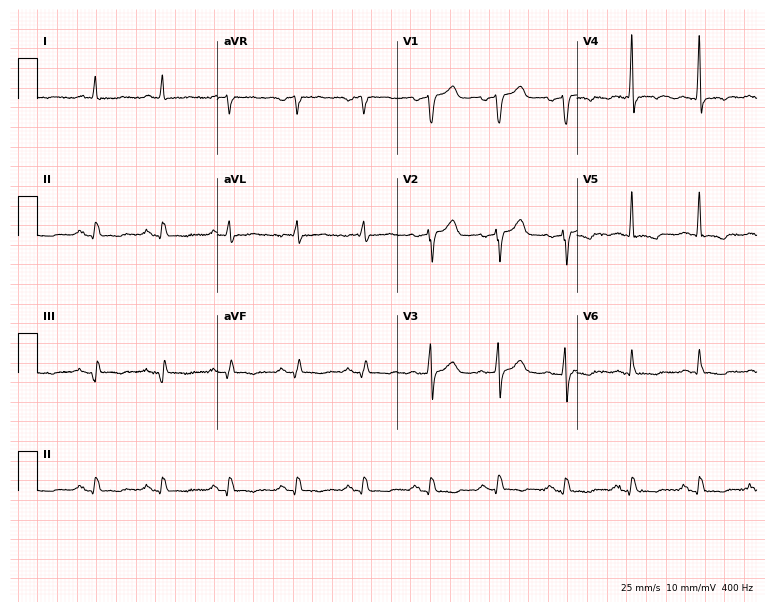
Standard 12-lead ECG recorded from a male patient, 71 years old (7.3-second recording at 400 Hz). None of these six findings is recorded: first-degree AV block, right bundle branch block, left bundle branch block, sinus bradycardia, atrial fibrillation, sinus tachycardia.